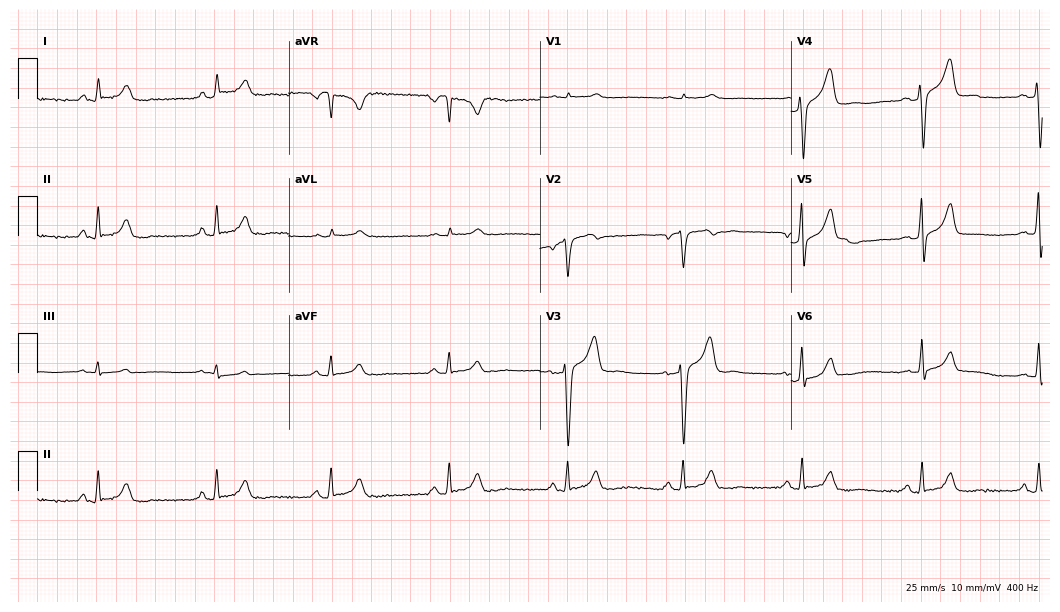
Electrocardiogram (10.2-second recording at 400 Hz), a male patient, 67 years old. Overall reading on record: normal ECG.